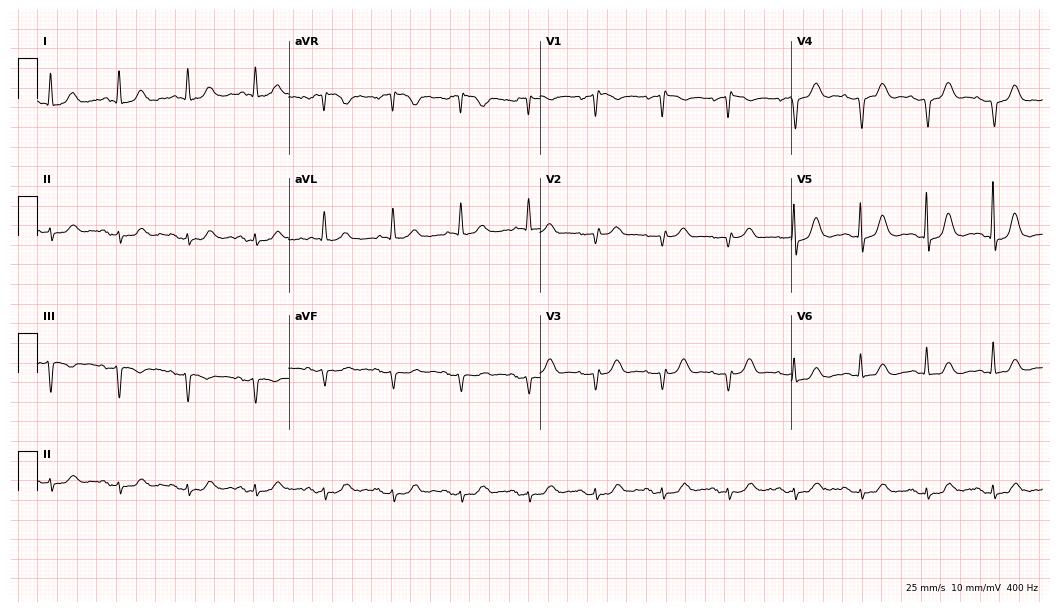
Electrocardiogram, an 85-year-old woman. Overall reading on record: normal ECG.